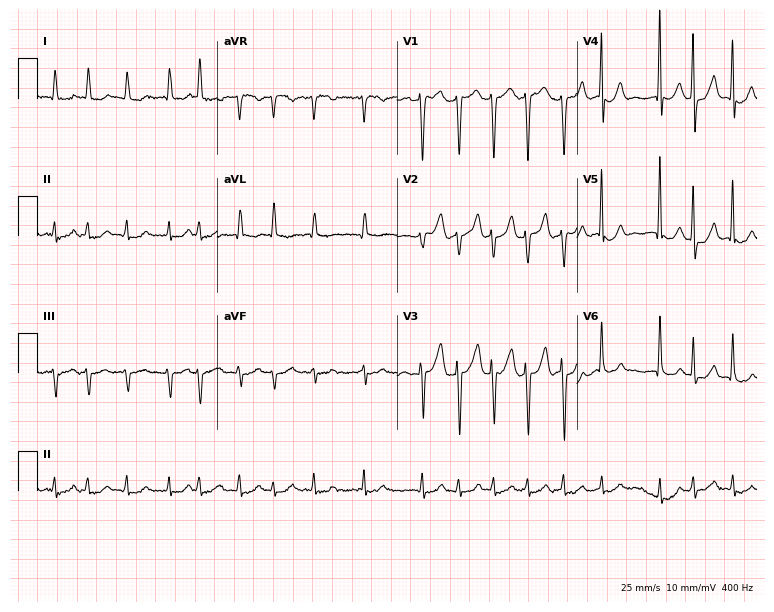
ECG — an 85-year-old female. Findings include atrial fibrillation.